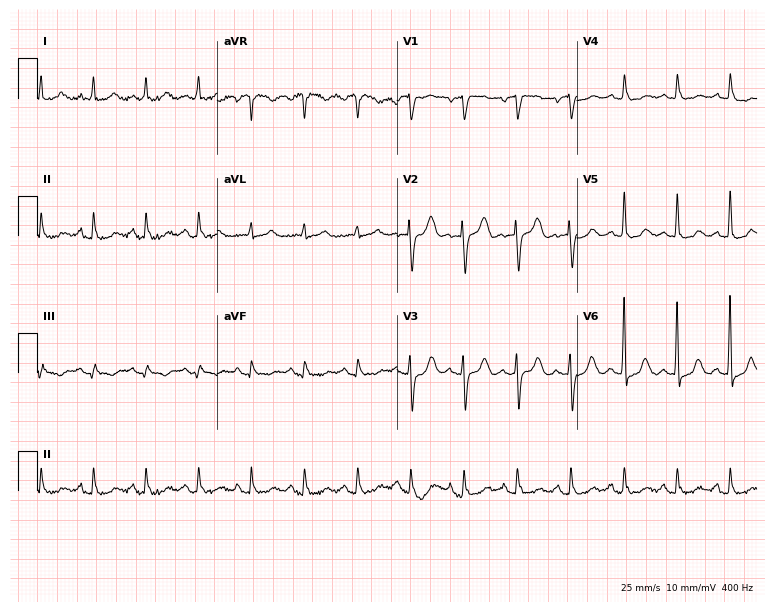
Resting 12-lead electrocardiogram (7.3-second recording at 400 Hz). Patient: a female, 82 years old. The tracing shows sinus tachycardia (a sinus rate of 100 beats per minute or more).